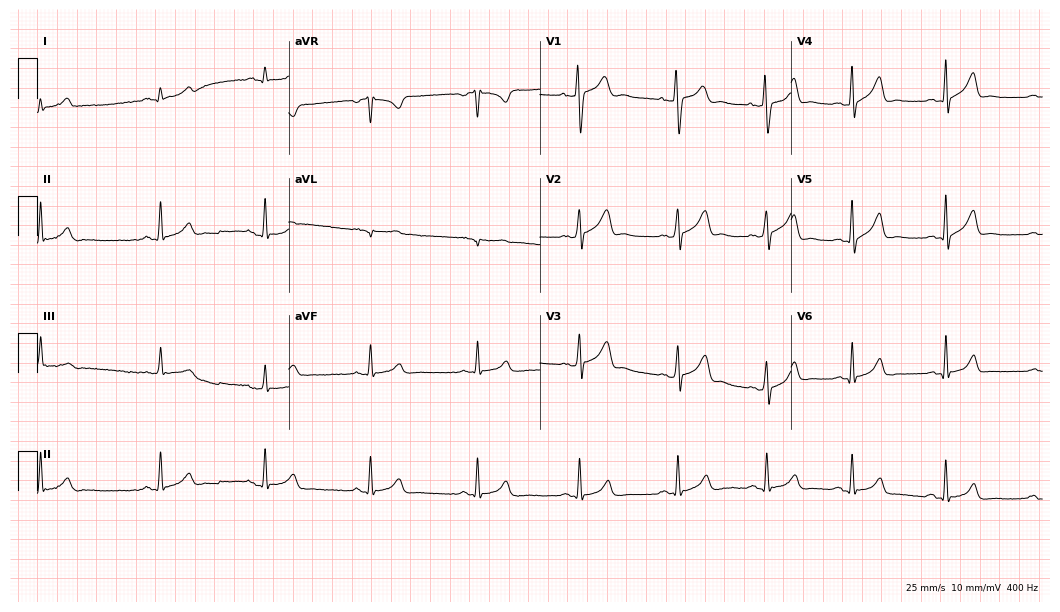
12-lead ECG from a male, 28 years old (10.2-second recording at 400 Hz). Recorded interpretation: within normal limits.